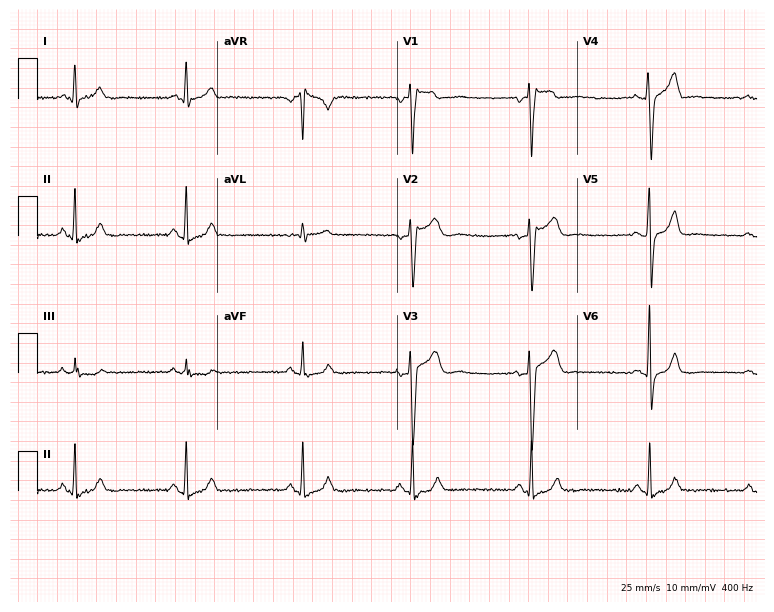
Resting 12-lead electrocardiogram (7.3-second recording at 400 Hz). Patient: a male, 52 years old. Read as a normal ECG.